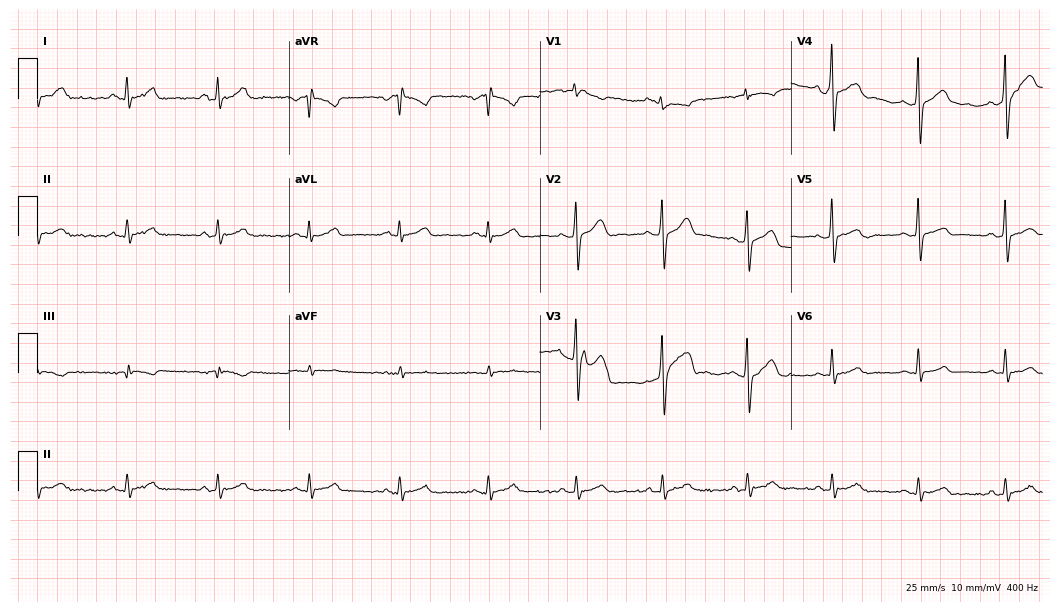
Resting 12-lead electrocardiogram. Patient: a male, 34 years old. Read as a normal ECG.